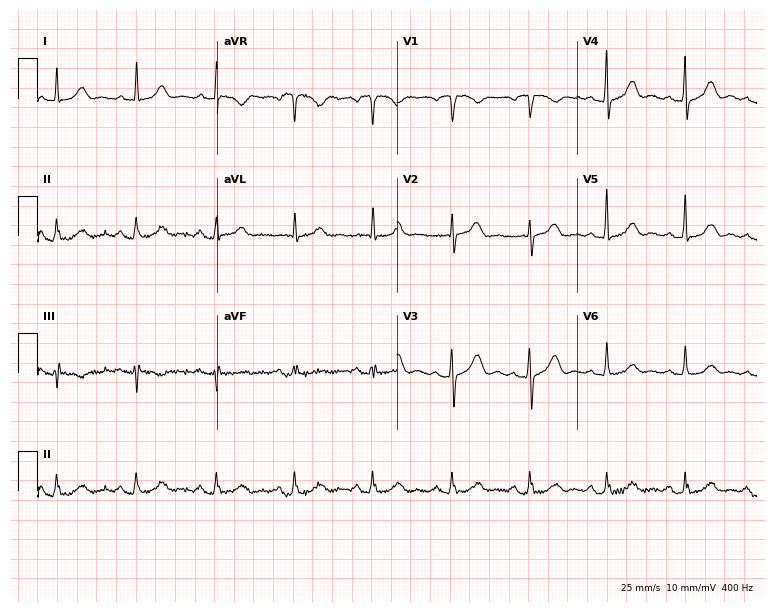
12-lead ECG from a 56-year-old female patient. Recorded interpretation: within normal limits.